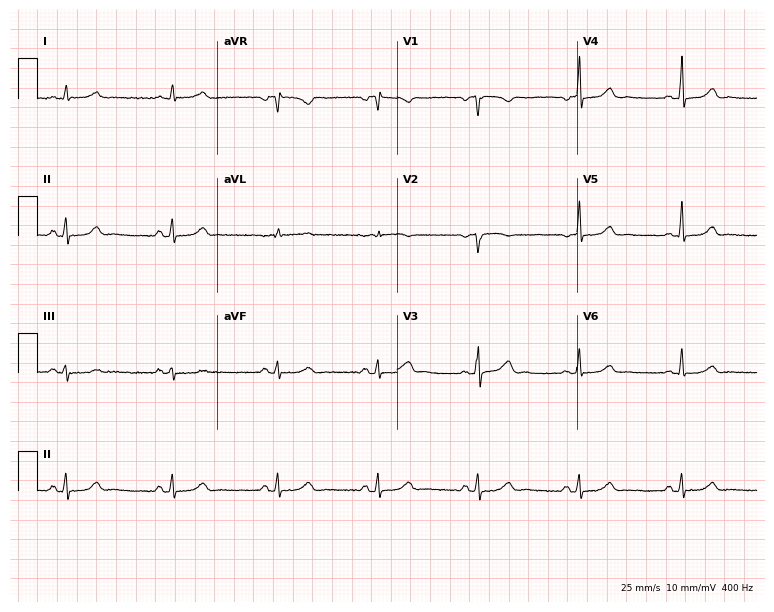
12-lead ECG from a woman, 49 years old. No first-degree AV block, right bundle branch block, left bundle branch block, sinus bradycardia, atrial fibrillation or sinus tachycardia recorded for this tracing.